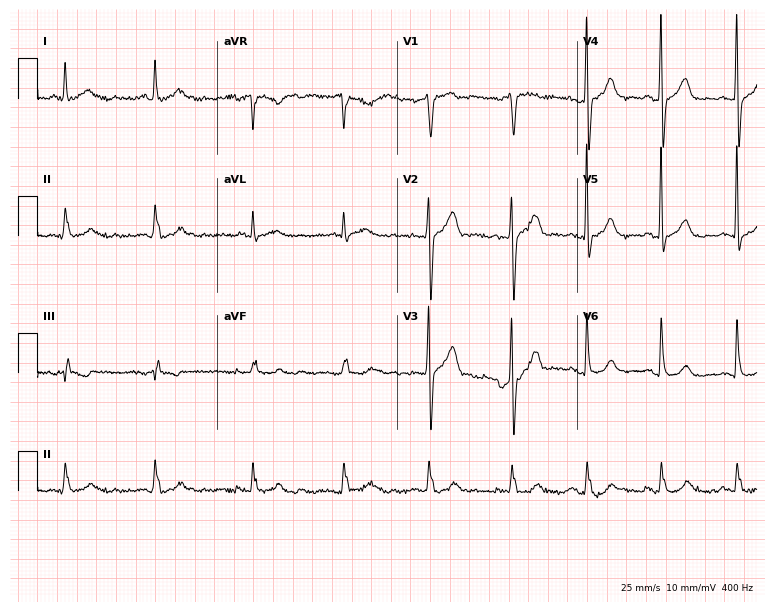
ECG (7.3-second recording at 400 Hz) — a 63-year-old man. Labelled as a normal ECG.